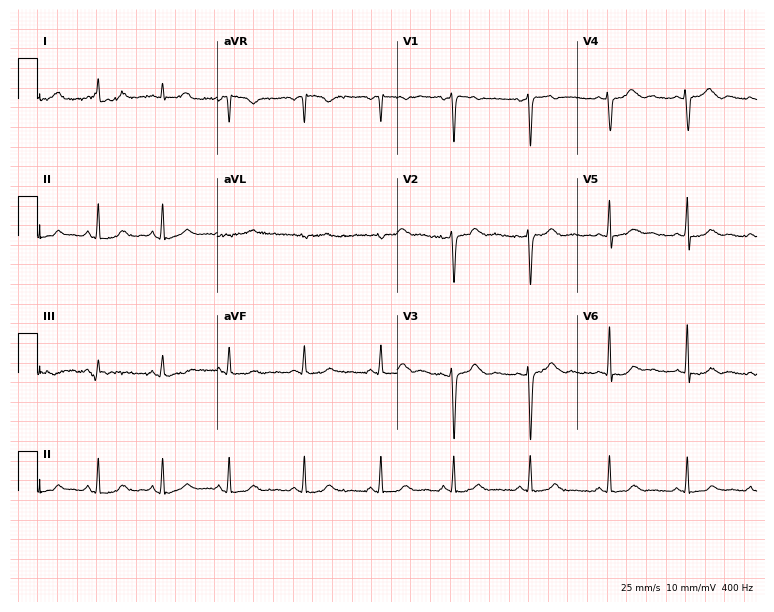
12-lead ECG (7.3-second recording at 400 Hz) from a woman, 29 years old. Screened for six findings — first-degree AV block, right bundle branch block (RBBB), left bundle branch block (LBBB), sinus bradycardia, atrial fibrillation (AF), sinus tachycardia — none is recorded.